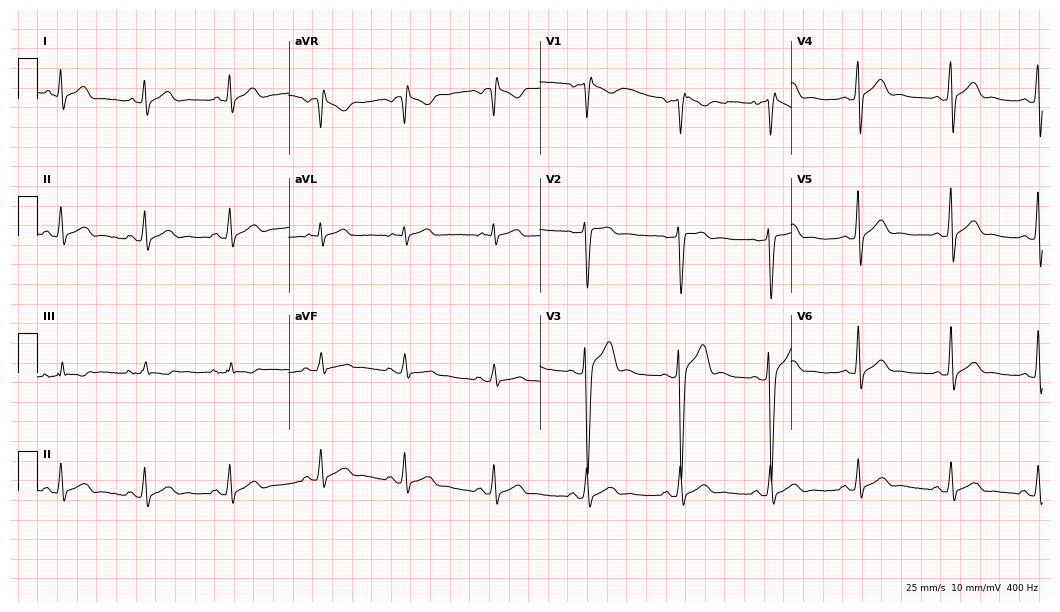
Electrocardiogram (10.2-second recording at 400 Hz), a male, 24 years old. Of the six screened findings (first-degree AV block, right bundle branch block (RBBB), left bundle branch block (LBBB), sinus bradycardia, atrial fibrillation (AF), sinus tachycardia), none is recorded.